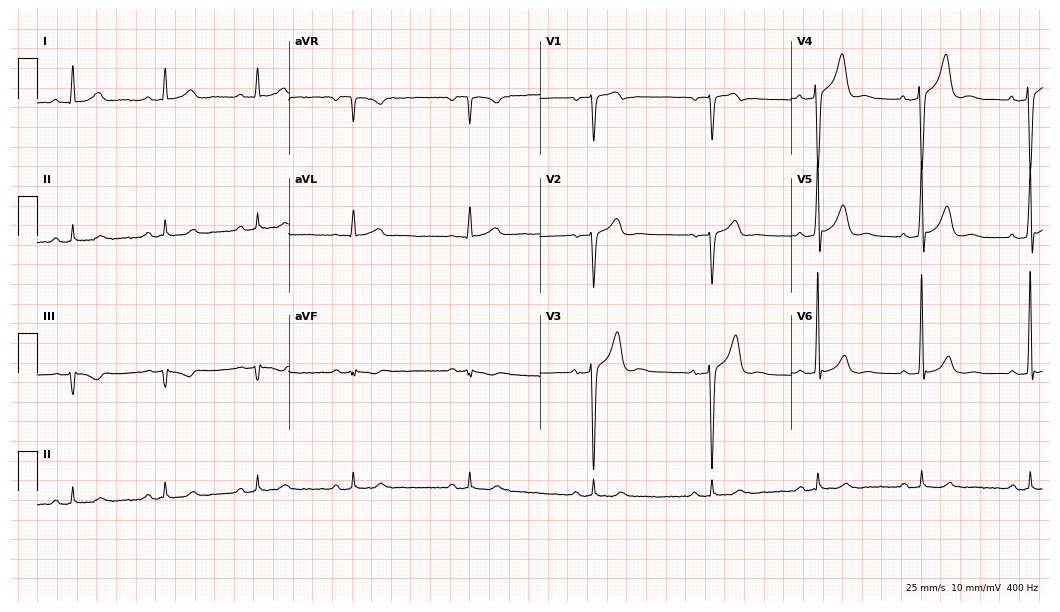
12-lead ECG from a 40-year-old man. Recorded interpretation: within normal limits.